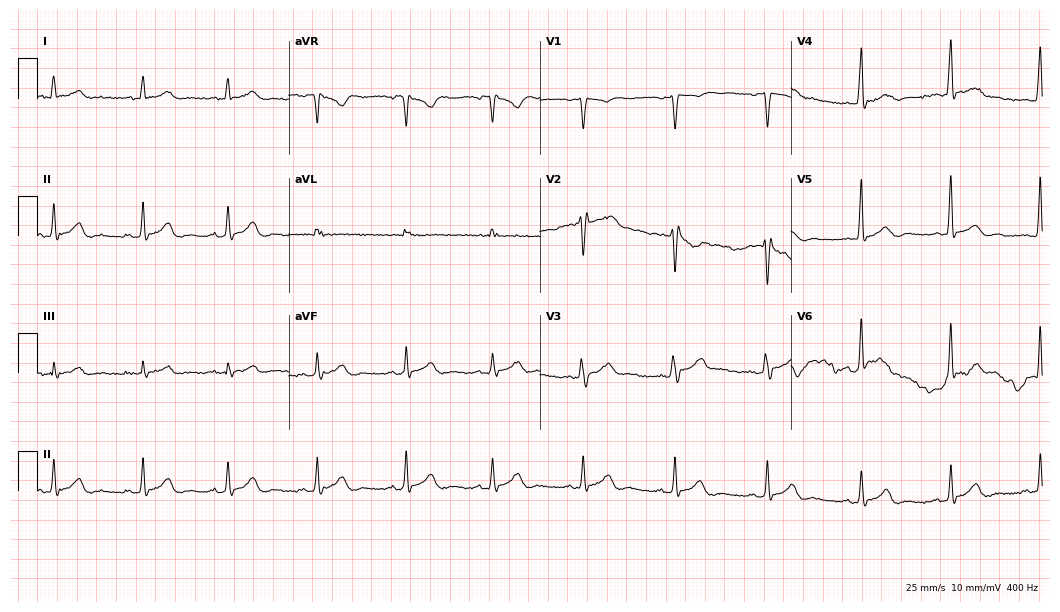
ECG — a 29-year-old male patient. Labelled as a normal ECG.